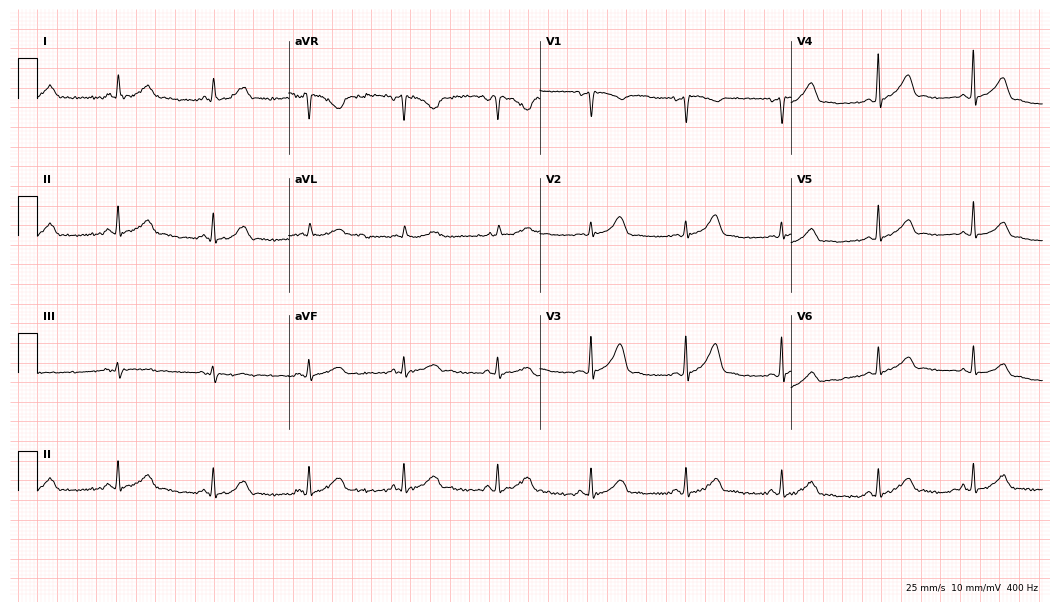
ECG (10.2-second recording at 400 Hz) — a man, 62 years old. Labelled as a normal ECG.